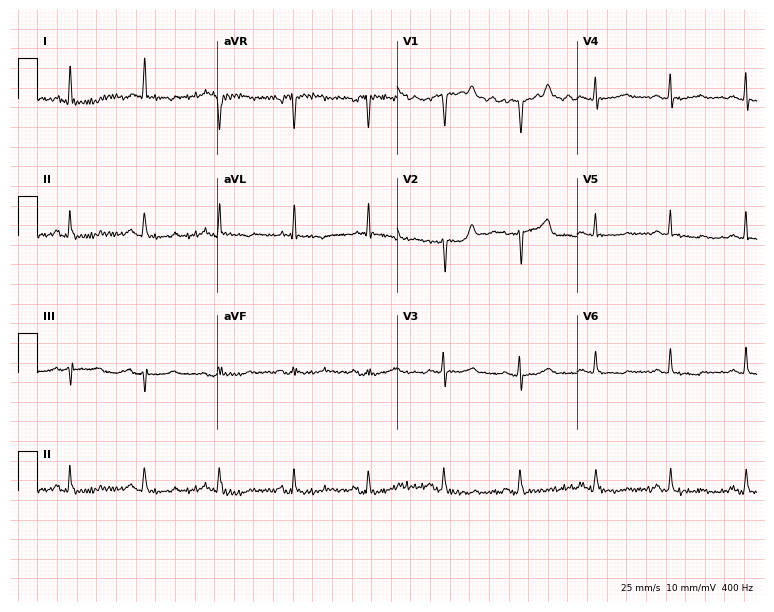
Electrocardiogram (7.3-second recording at 400 Hz), a 60-year-old woman. Of the six screened findings (first-degree AV block, right bundle branch block (RBBB), left bundle branch block (LBBB), sinus bradycardia, atrial fibrillation (AF), sinus tachycardia), none is recorded. Other findings, if any, are not listed.